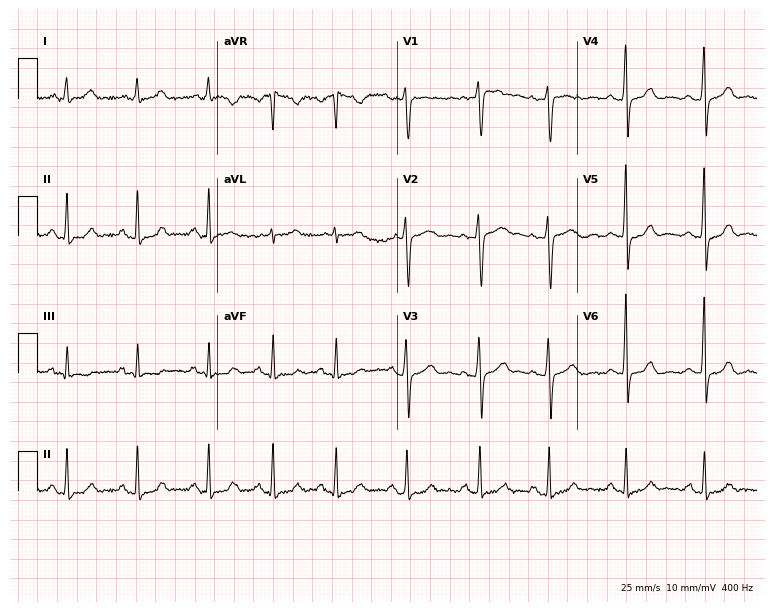
12-lead ECG from a female, 47 years old. Recorded interpretation: within normal limits.